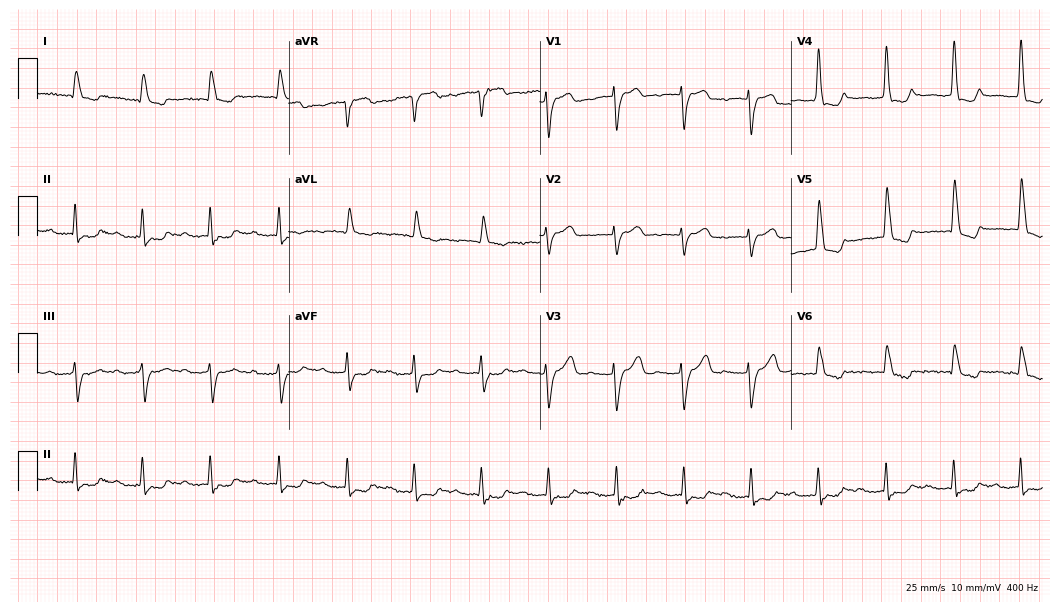
Standard 12-lead ECG recorded from a female patient, 81 years old (10.2-second recording at 400 Hz). None of these six findings is recorded: first-degree AV block, right bundle branch block (RBBB), left bundle branch block (LBBB), sinus bradycardia, atrial fibrillation (AF), sinus tachycardia.